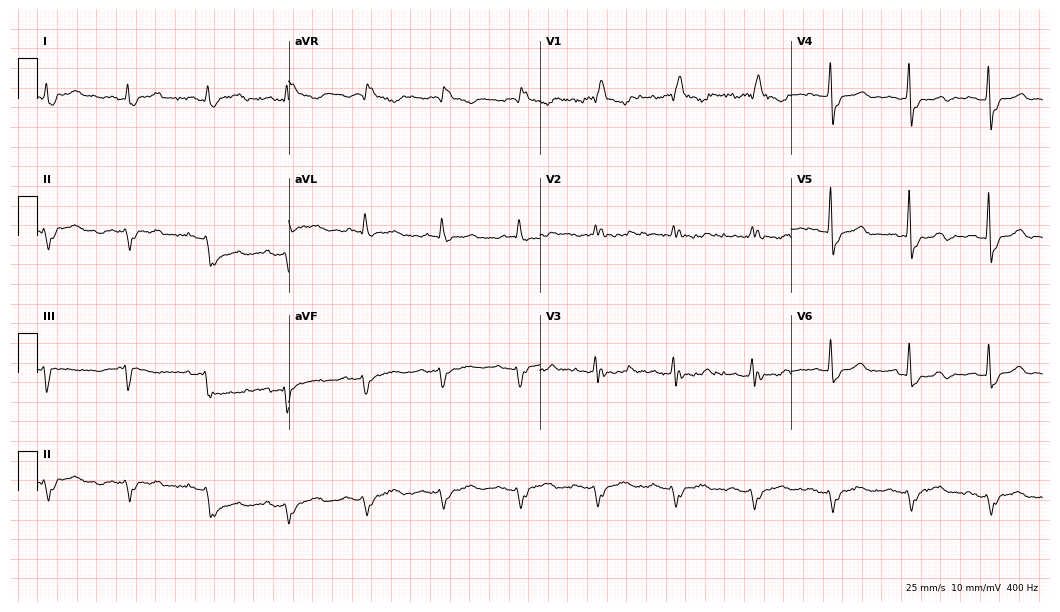
Resting 12-lead electrocardiogram (10.2-second recording at 400 Hz). Patient: a male, 76 years old. The tracing shows right bundle branch block.